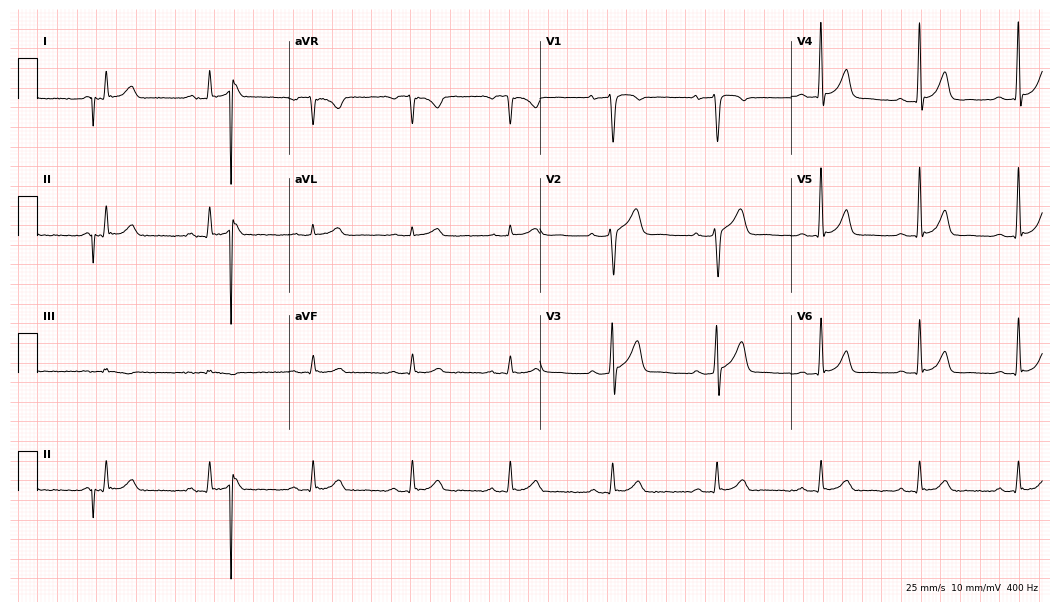
12-lead ECG from a 43-year-old male patient. Recorded interpretation: within normal limits.